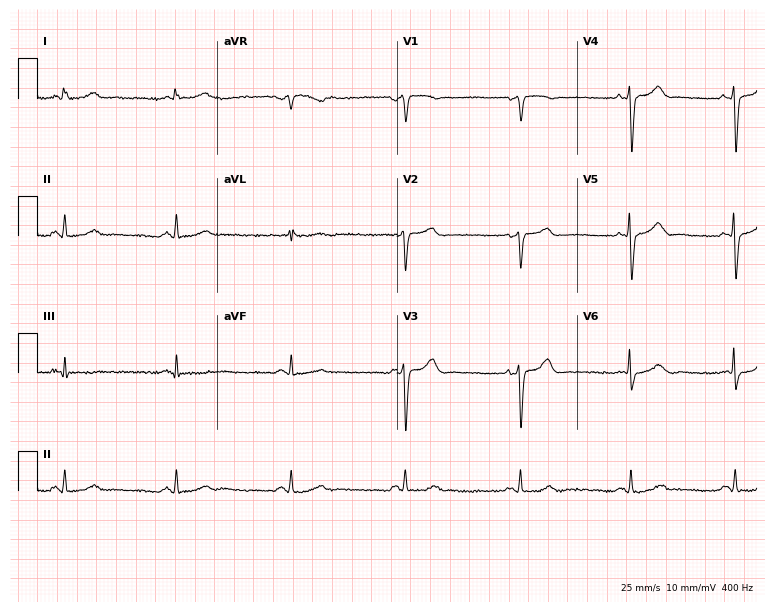
ECG — a 73-year-old male. Screened for six findings — first-degree AV block, right bundle branch block, left bundle branch block, sinus bradycardia, atrial fibrillation, sinus tachycardia — none is recorded. Other findings, if any, are not listed.